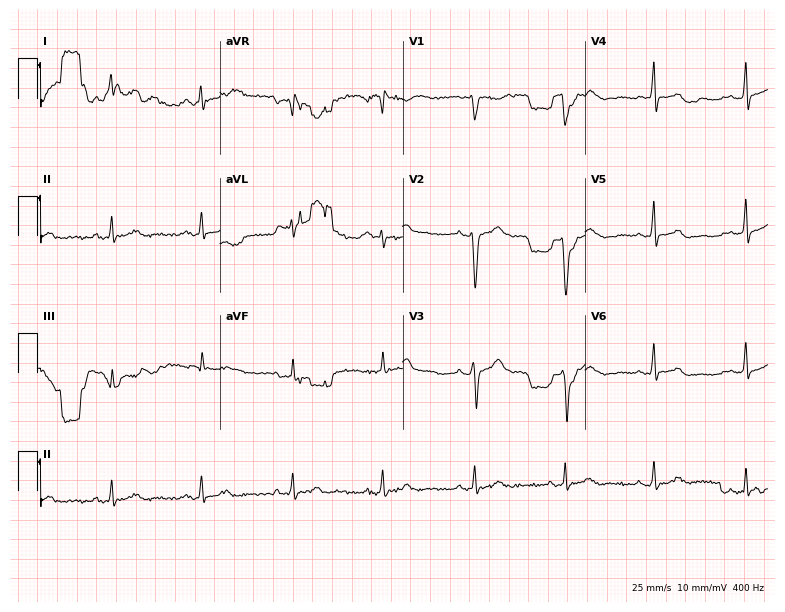
Resting 12-lead electrocardiogram. Patient: a female, 42 years old. Read as a normal ECG.